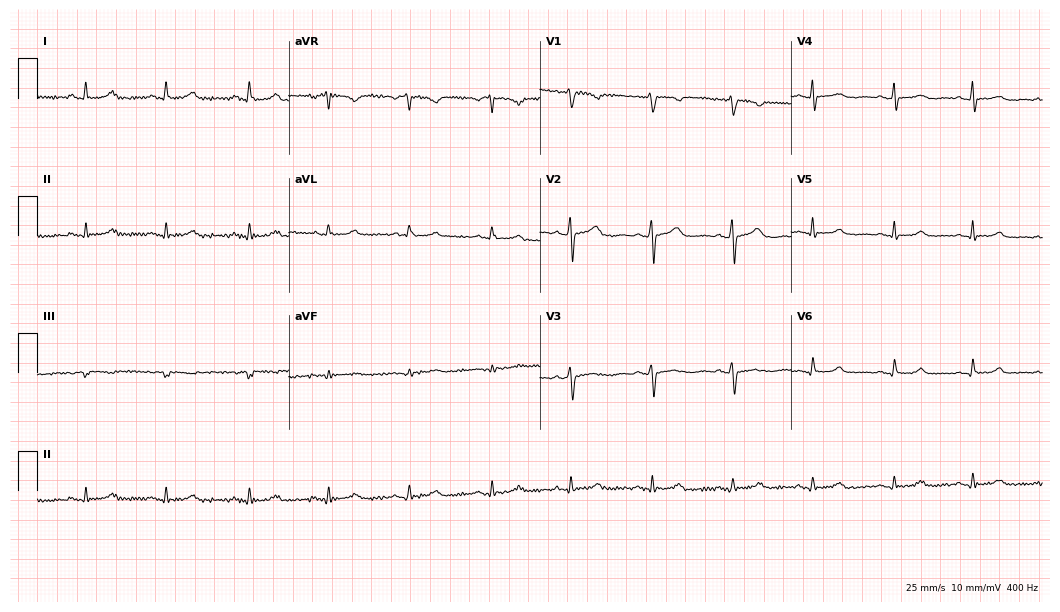
12-lead ECG from a female, 50 years old (10.2-second recording at 400 Hz). No first-degree AV block, right bundle branch block, left bundle branch block, sinus bradycardia, atrial fibrillation or sinus tachycardia recorded for this tracing. Only these six findings were labelled.